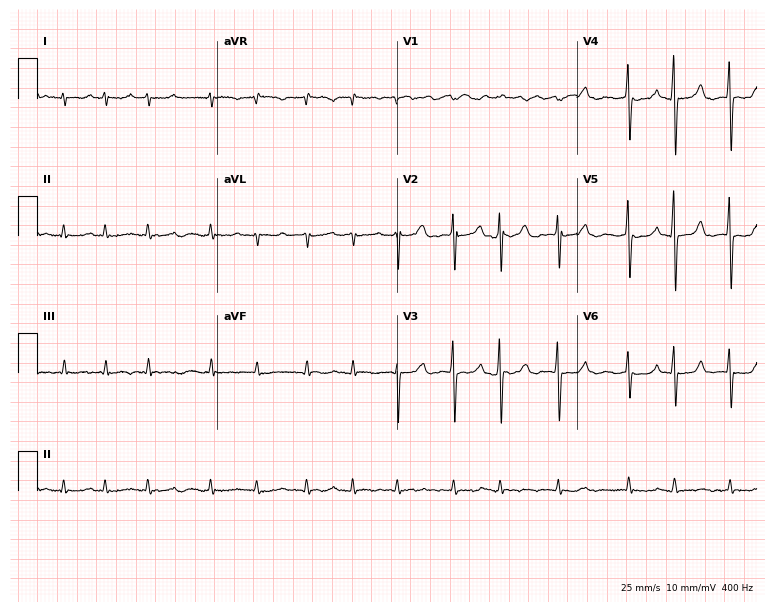
12-lead ECG from an 80-year-old female. Shows atrial fibrillation.